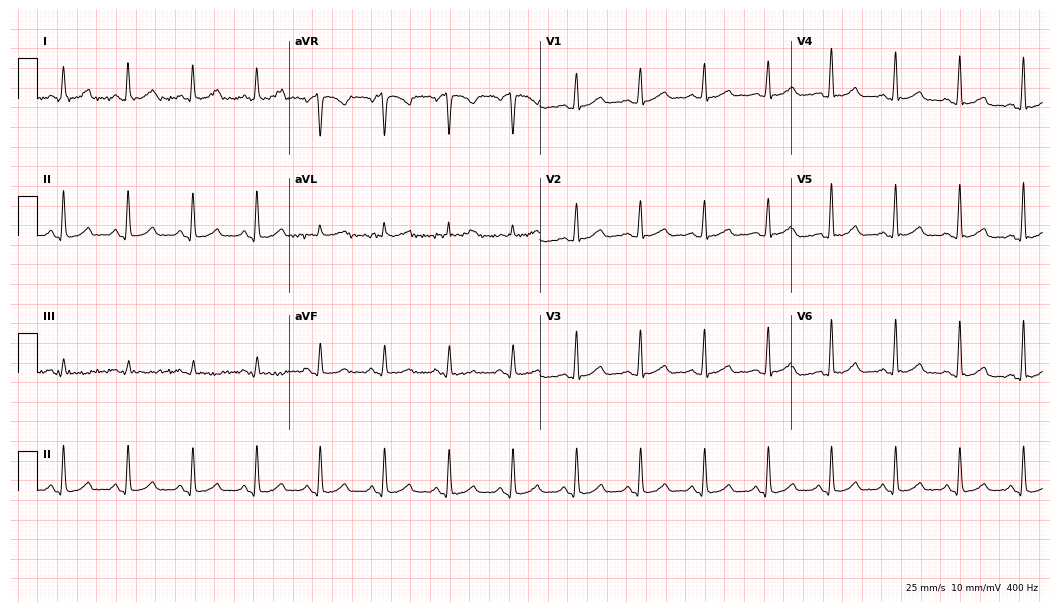
Standard 12-lead ECG recorded from a 40-year-old female patient. None of these six findings is recorded: first-degree AV block, right bundle branch block (RBBB), left bundle branch block (LBBB), sinus bradycardia, atrial fibrillation (AF), sinus tachycardia. Other findings, if any, are not listed.